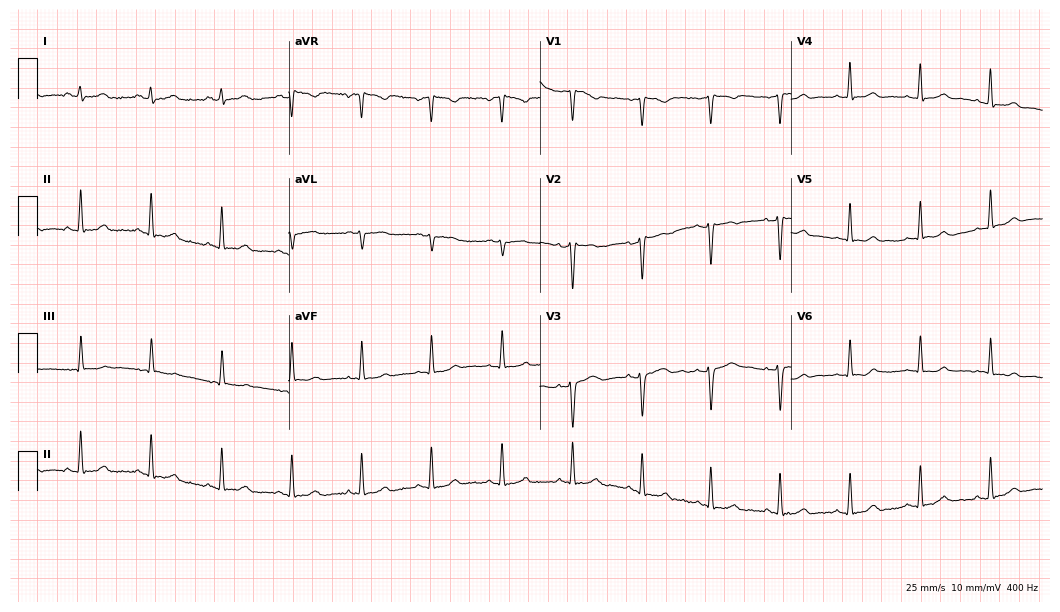
Standard 12-lead ECG recorded from a woman, 40 years old (10.2-second recording at 400 Hz). Read as a normal ECG.